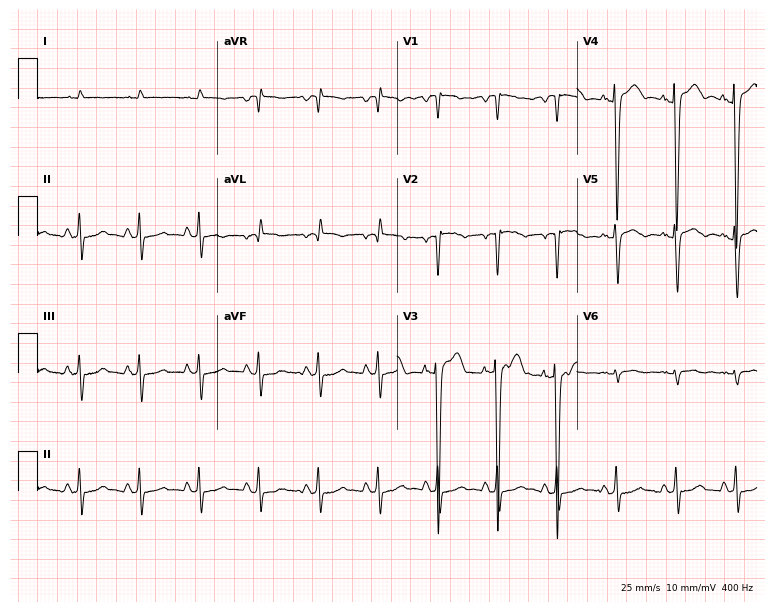
12-lead ECG (7.3-second recording at 400 Hz) from a 58-year-old male patient. Screened for six findings — first-degree AV block, right bundle branch block (RBBB), left bundle branch block (LBBB), sinus bradycardia, atrial fibrillation (AF), sinus tachycardia — none is recorded.